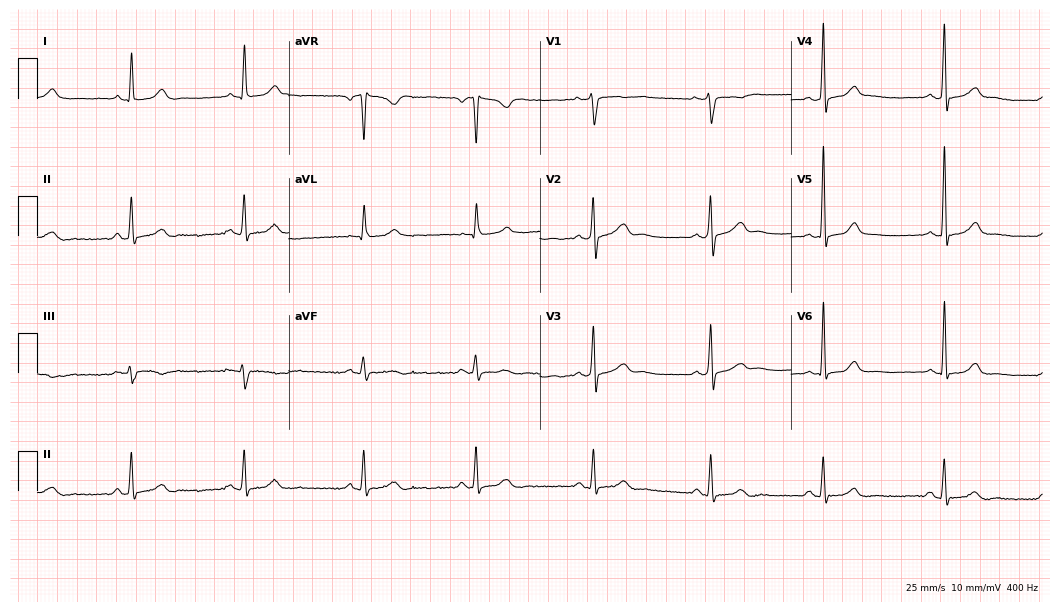
Standard 12-lead ECG recorded from a 28-year-old female. Read as a normal ECG.